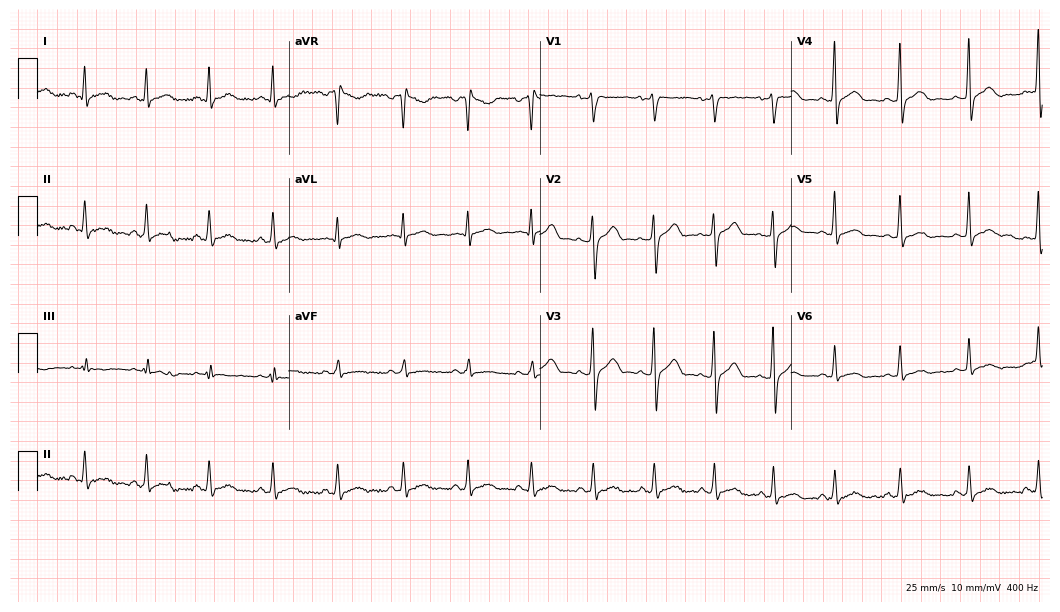
Electrocardiogram (10.2-second recording at 400 Hz), an 83-year-old female patient. Of the six screened findings (first-degree AV block, right bundle branch block, left bundle branch block, sinus bradycardia, atrial fibrillation, sinus tachycardia), none is recorded.